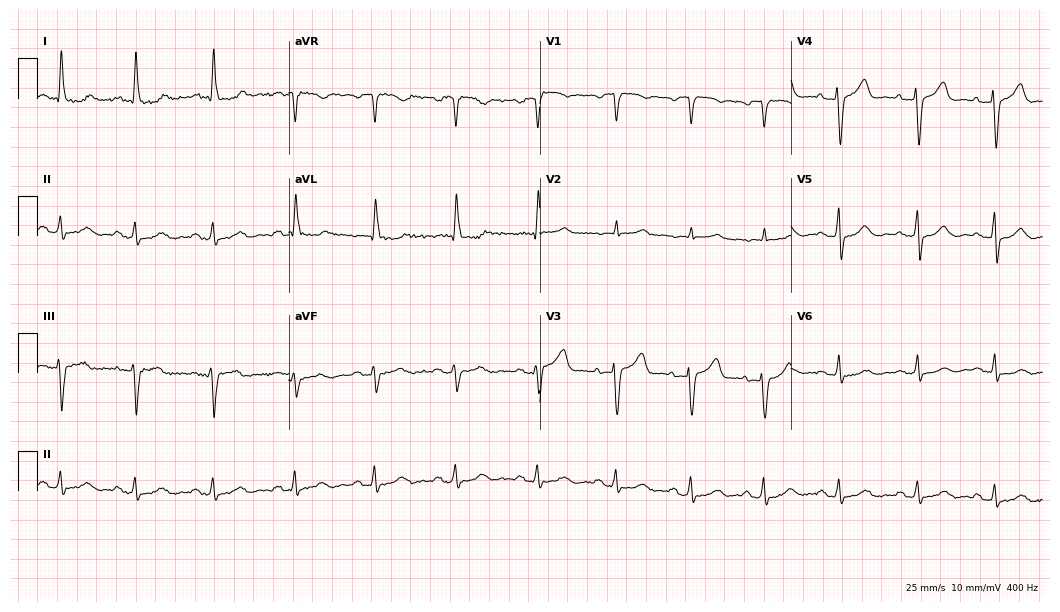
Standard 12-lead ECG recorded from a woman, 78 years old. None of these six findings is recorded: first-degree AV block, right bundle branch block (RBBB), left bundle branch block (LBBB), sinus bradycardia, atrial fibrillation (AF), sinus tachycardia. Other findings, if any, are not listed.